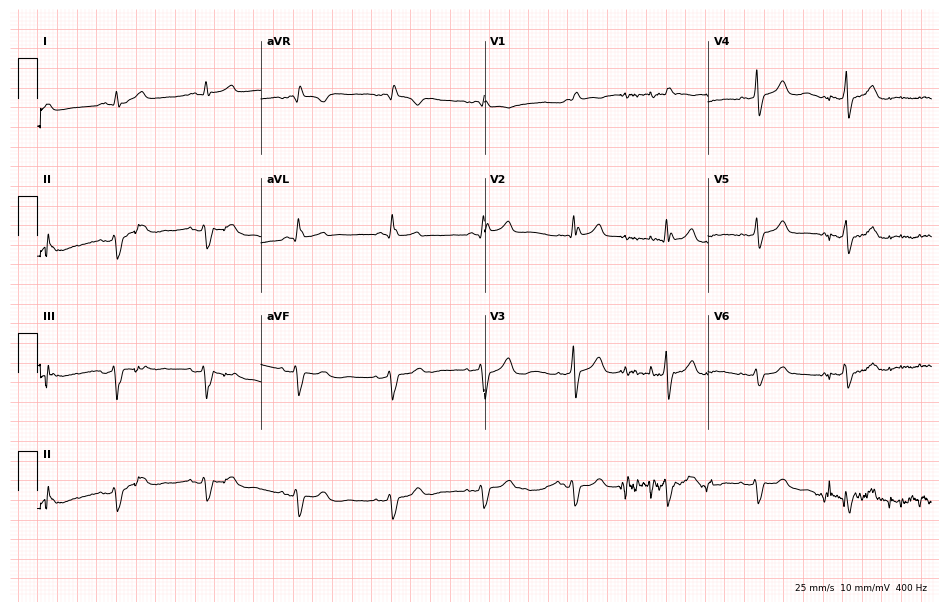
12-lead ECG (9.1-second recording at 400 Hz) from a 67-year-old male. Findings include right bundle branch block (RBBB).